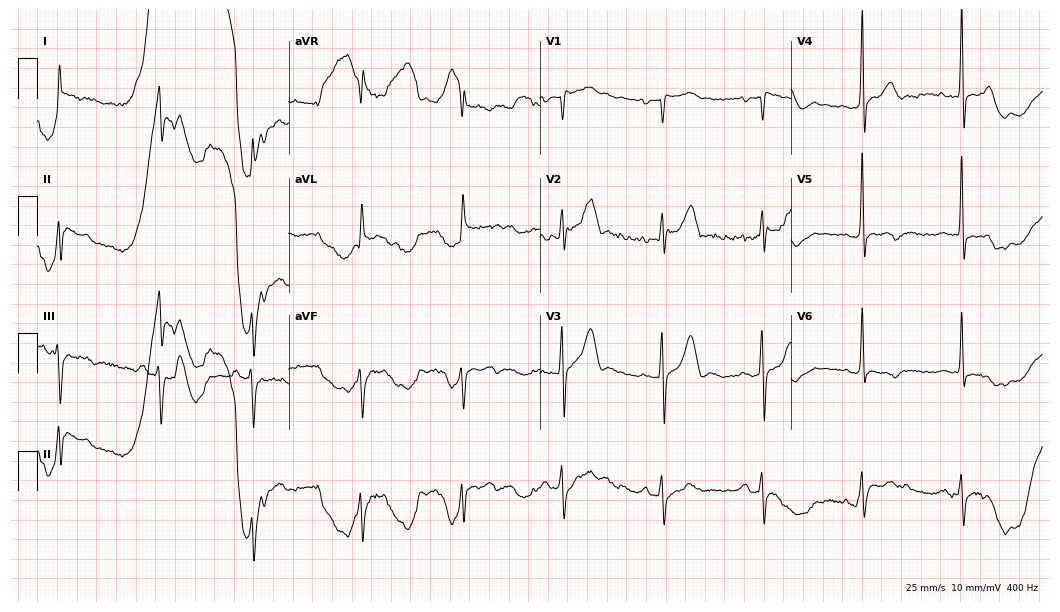
12-lead ECG from a male patient, 75 years old (10.2-second recording at 400 Hz). No first-degree AV block, right bundle branch block (RBBB), left bundle branch block (LBBB), sinus bradycardia, atrial fibrillation (AF) or sinus tachycardia recorded for this tracing. Findings outside these six are not listed.